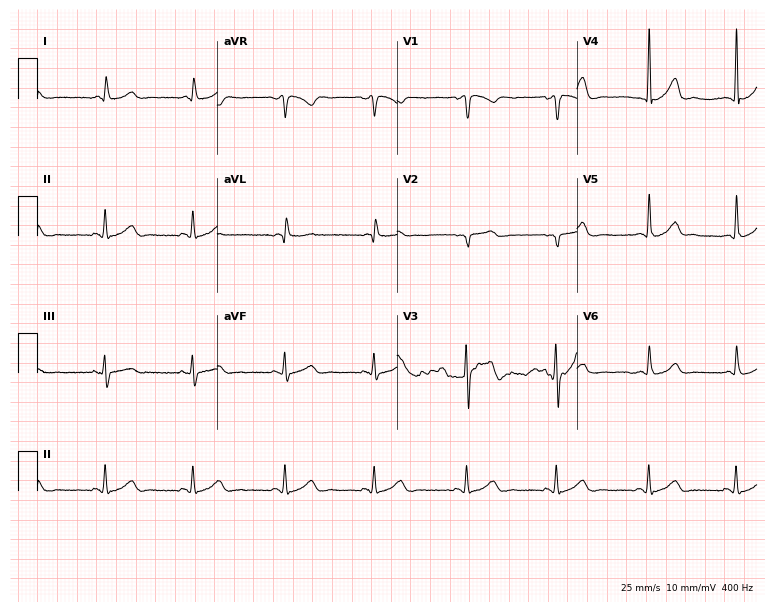
Standard 12-lead ECG recorded from a 44-year-old female. Read as a normal ECG.